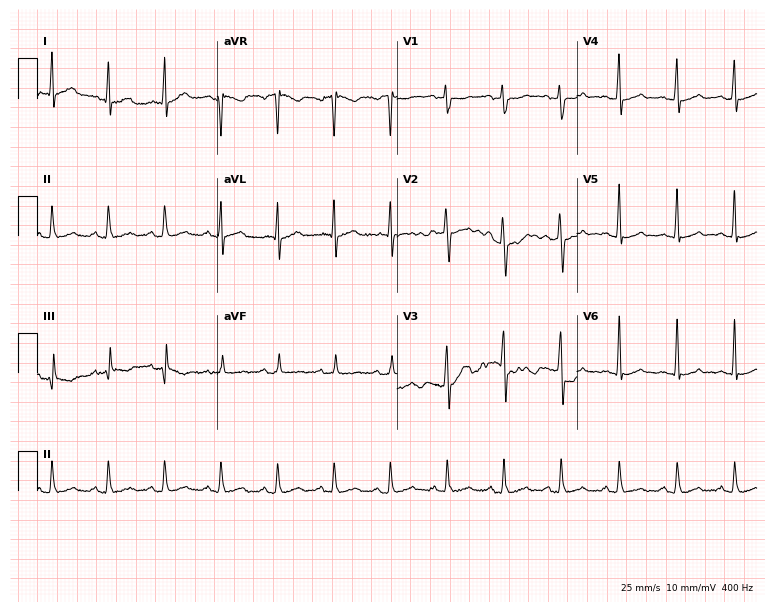
Standard 12-lead ECG recorded from a 32-year-old male (7.3-second recording at 400 Hz). The tracing shows sinus tachycardia (a sinus rate of 100 beats per minute or more).